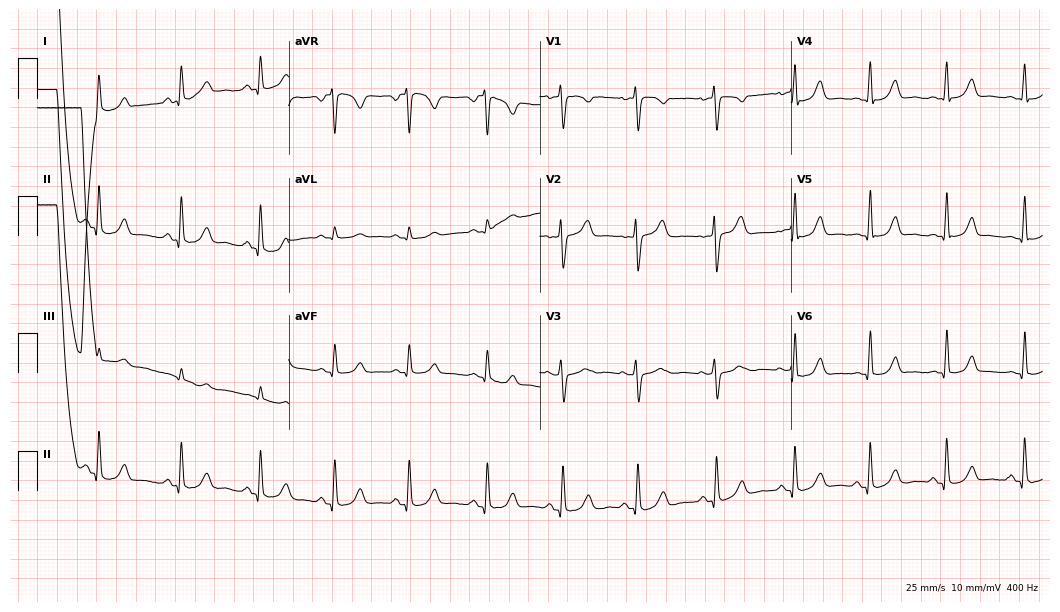
Resting 12-lead electrocardiogram (10.2-second recording at 400 Hz). Patient: a 36-year-old female. Read as a normal ECG.